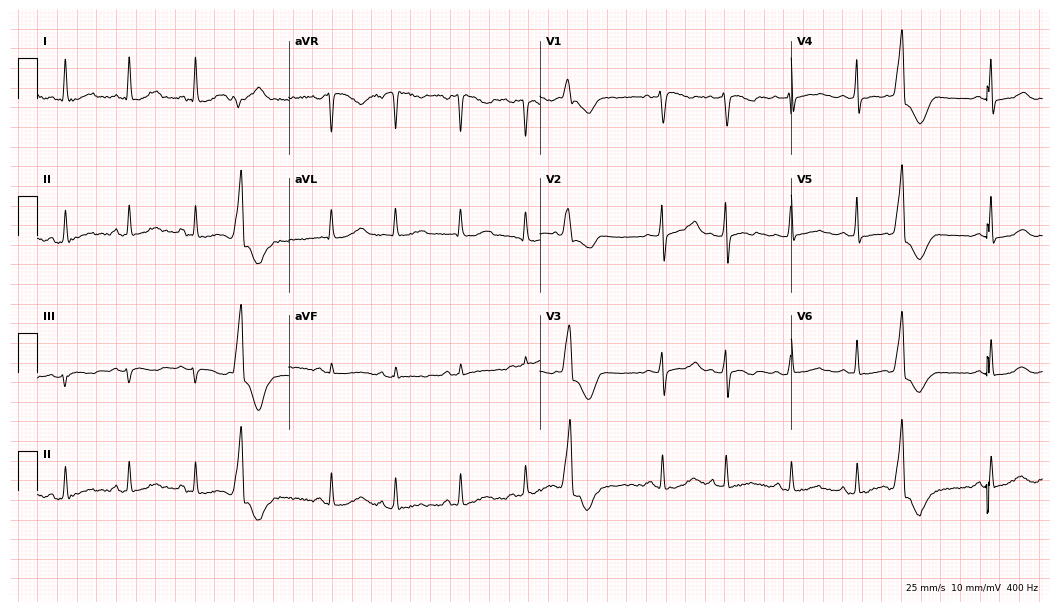
12-lead ECG from a 42-year-old female. Screened for six findings — first-degree AV block, right bundle branch block, left bundle branch block, sinus bradycardia, atrial fibrillation, sinus tachycardia — none is recorded.